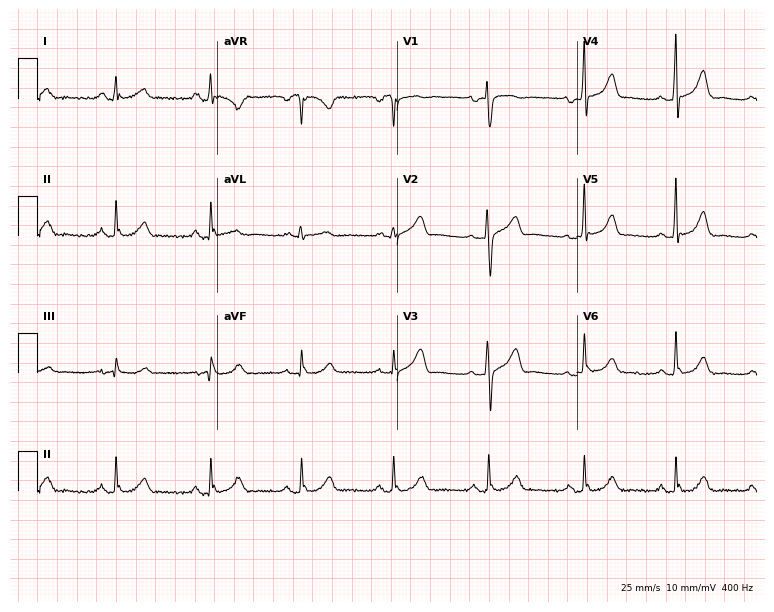
Resting 12-lead electrocardiogram (7.3-second recording at 400 Hz). Patient: a 51-year-old woman. Read as a normal ECG.